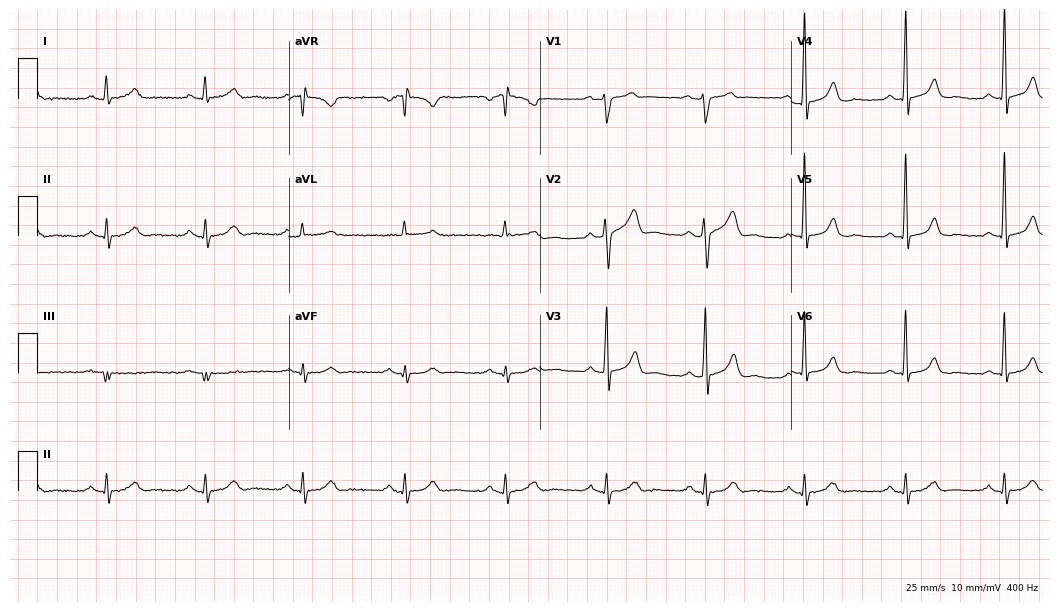
ECG — a 61-year-old woman. Labelled as a normal ECG.